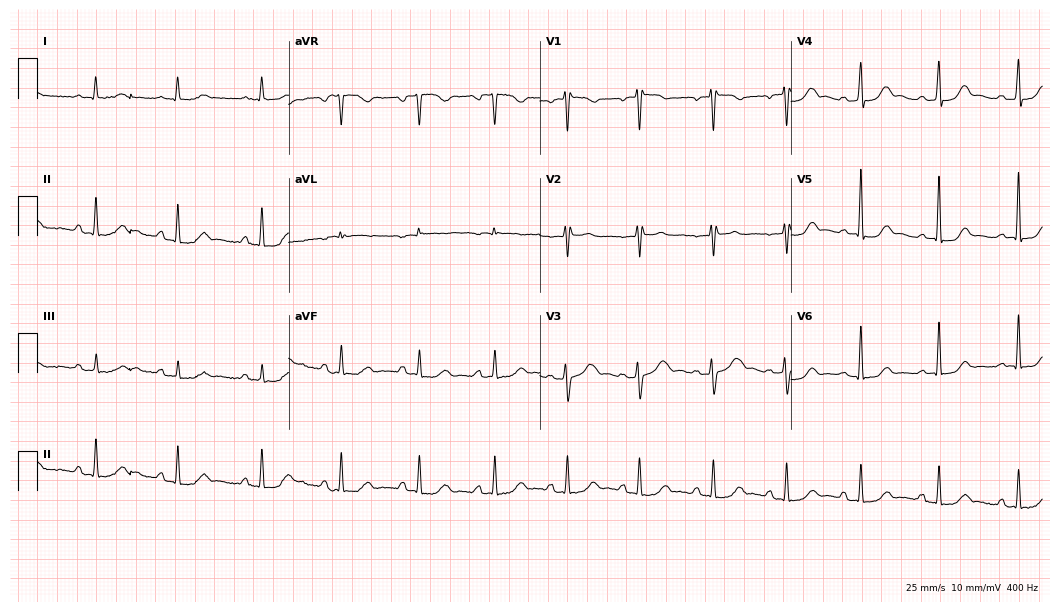
Electrocardiogram, a woman, 35 years old. Overall reading on record: normal ECG.